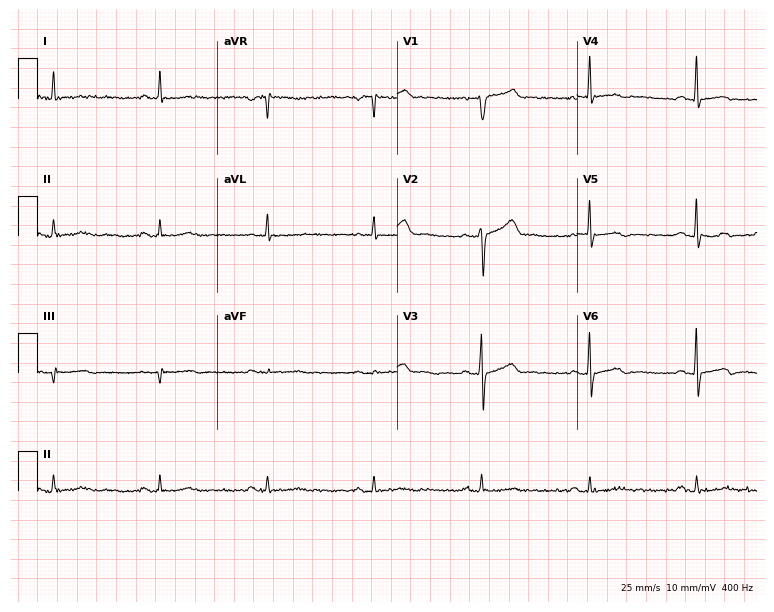
Resting 12-lead electrocardiogram (7.3-second recording at 400 Hz). Patient: a male, 67 years old. None of these six findings is recorded: first-degree AV block, right bundle branch block, left bundle branch block, sinus bradycardia, atrial fibrillation, sinus tachycardia. Findings outside these six are not listed.